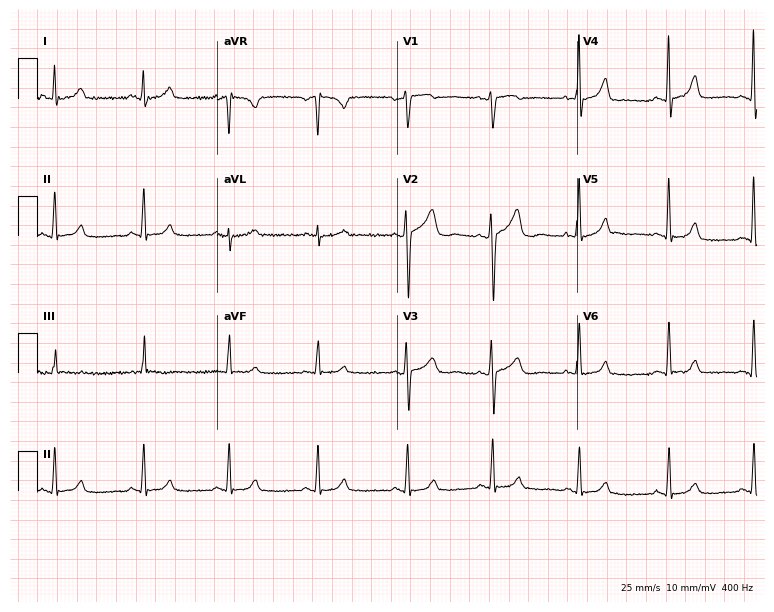
12-lead ECG (7.3-second recording at 400 Hz) from a 27-year-old female. Labelled as a normal ECG.